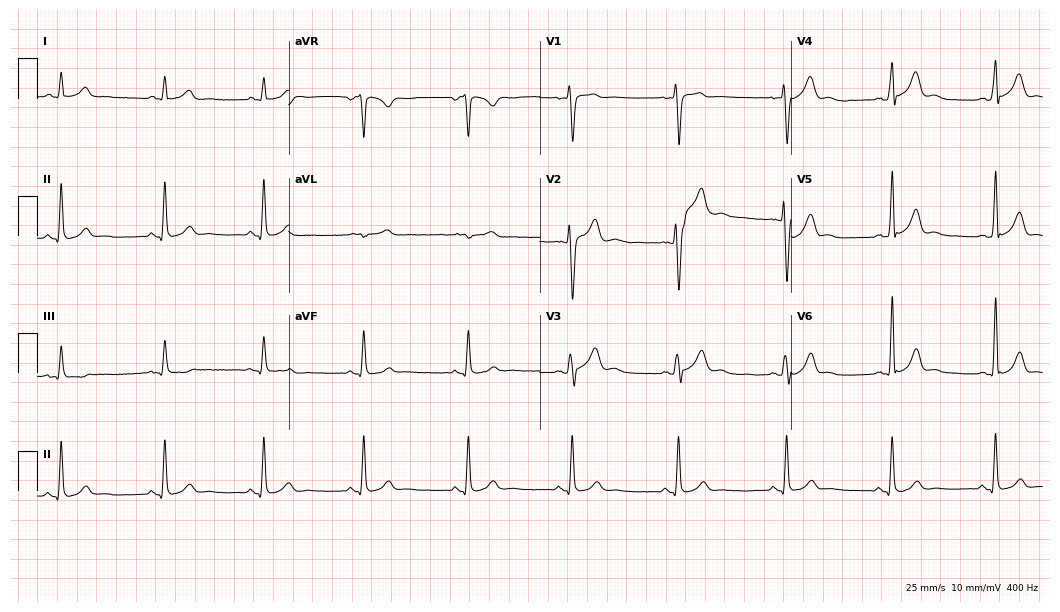
Resting 12-lead electrocardiogram (10.2-second recording at 400 Hz). Patient: a 26-year-old man. Read as a normal ECG.